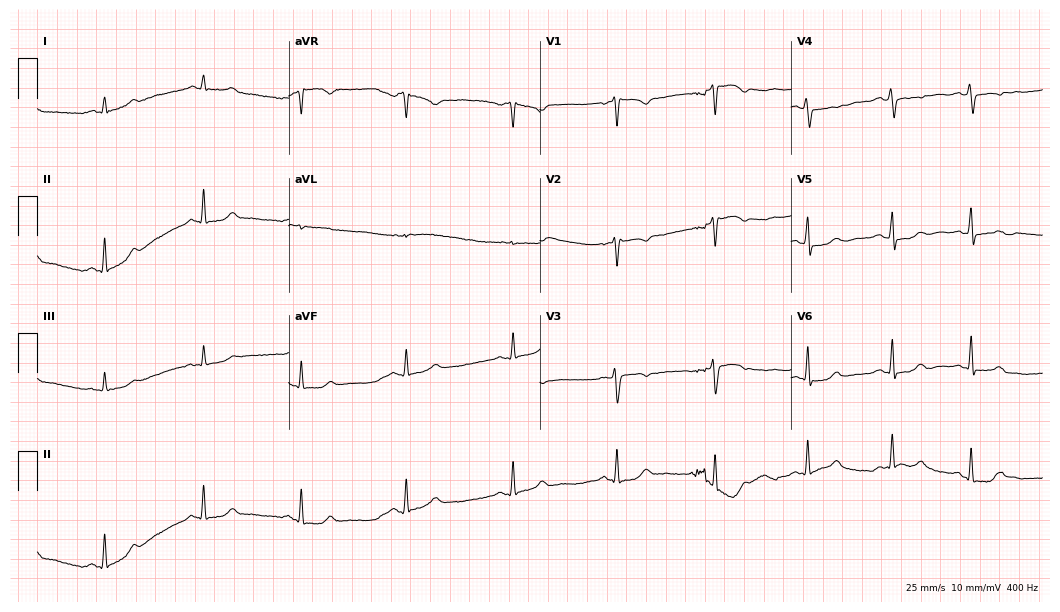
Electrocardiogram (10.2-second recording at 400 Hz), a 44-year-old female. Of the six screened findings (first-degree AV block, right bundle branch block (RBBB), left bundle branch block (LBBB), sinus bradycardia, atrial fibrillation (AF), sinus tachycardia), none is recorded. Only these six findings were labelled.